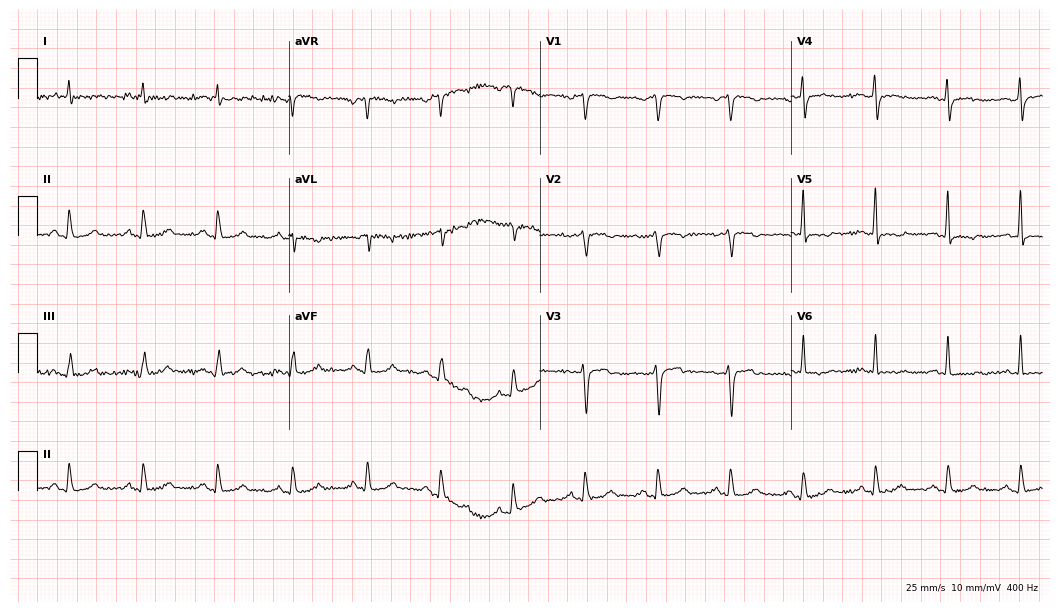
Electrocardiogram (10.2-second recording at 400 Hz), a 53-year-old male. Of the six screened findings (first-degree AV block, right bundle branch block (RBBB), left bundle branch block (LBBB), sinus bradycardia, atrial fibrillation (AF), sinus tachycardia), none is recorded.